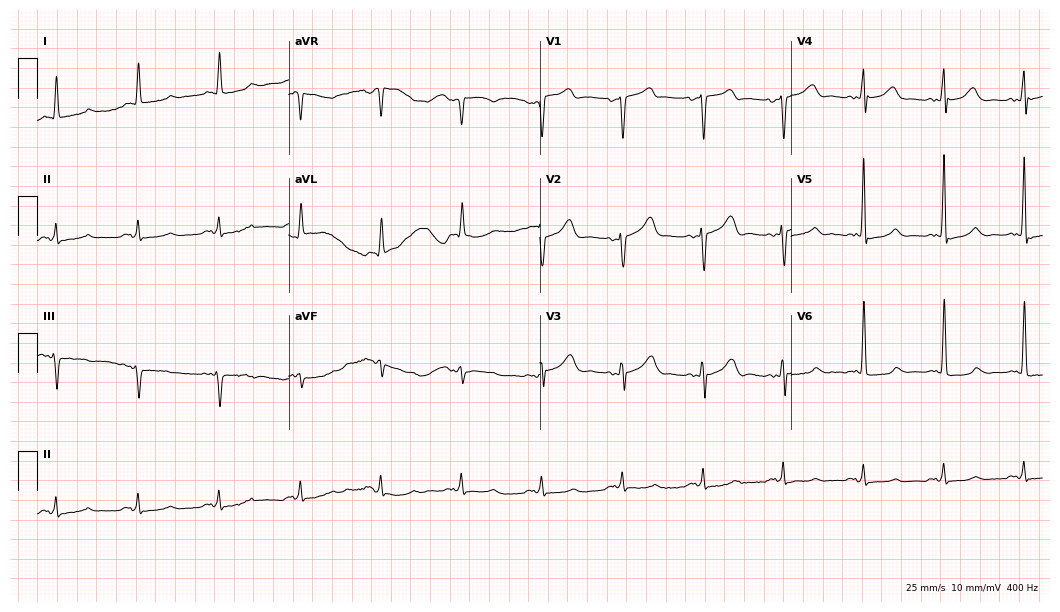
Standard 12-lead ECG recorded from a man, 85 years old (10.2-second recording at 400 Hz). Read as a normal ECG.